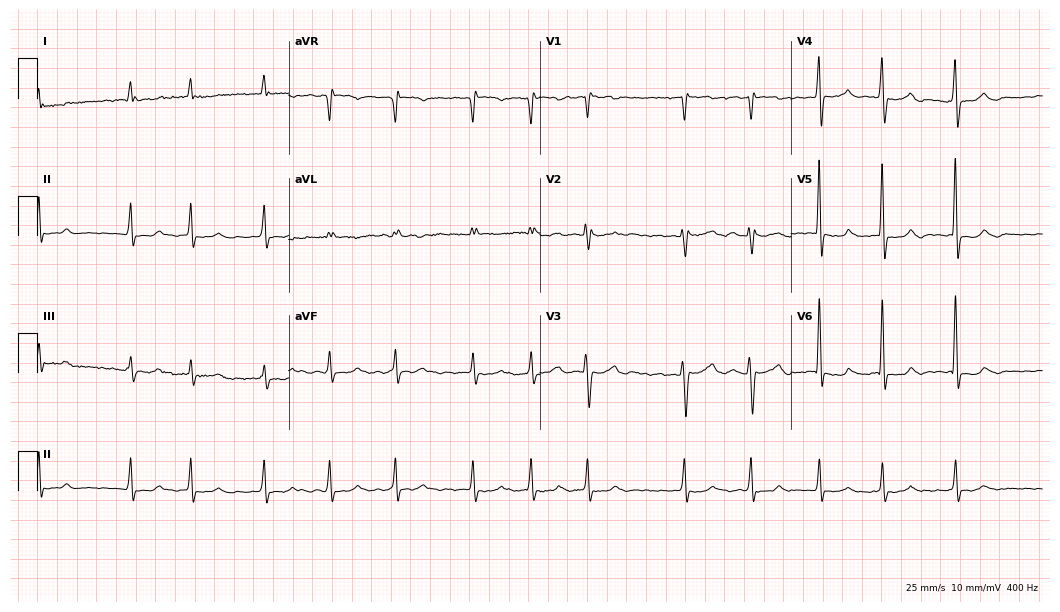
Resting 12-lead electrocardiogram. Patient: a female, 61 years old. The tracing shows atrial fibrillation.